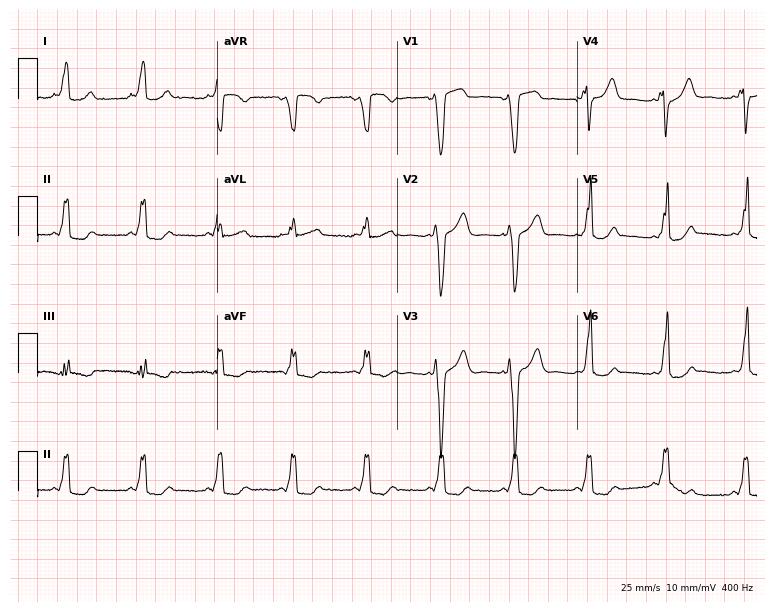
Electrocardiogram, a female, 21 years old. Of the six screened findings (first-degree AV block, right bundle branch block, left bundle branch block, sinus bradycardia, atrial fibrillation, sinus tachycardia), none is recorded.